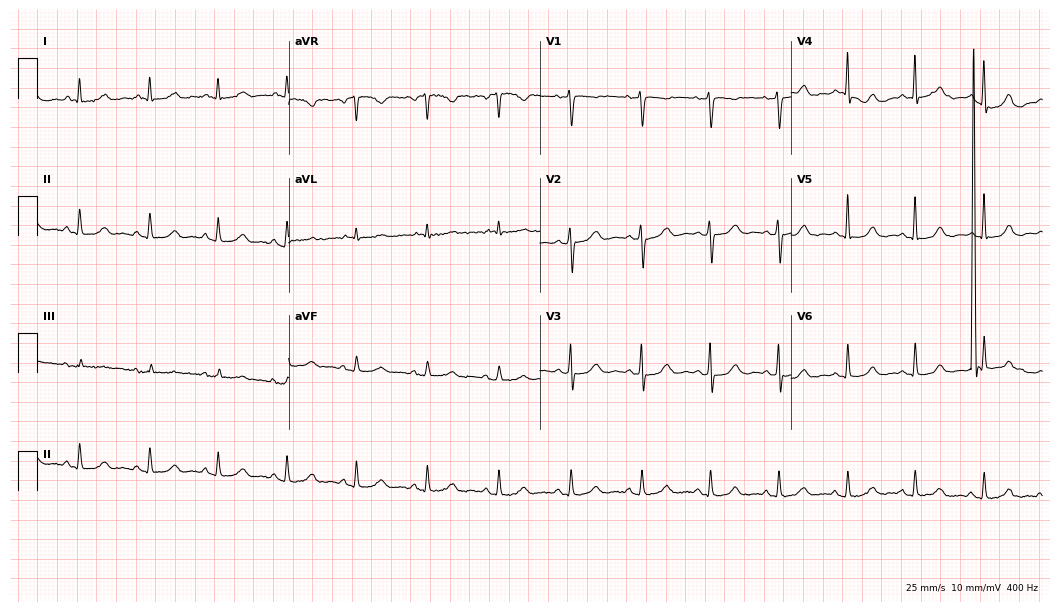
ECG (10.2-second recording at 400 Hz) — a 68-year-old woman. Labelled as a normal ECG.